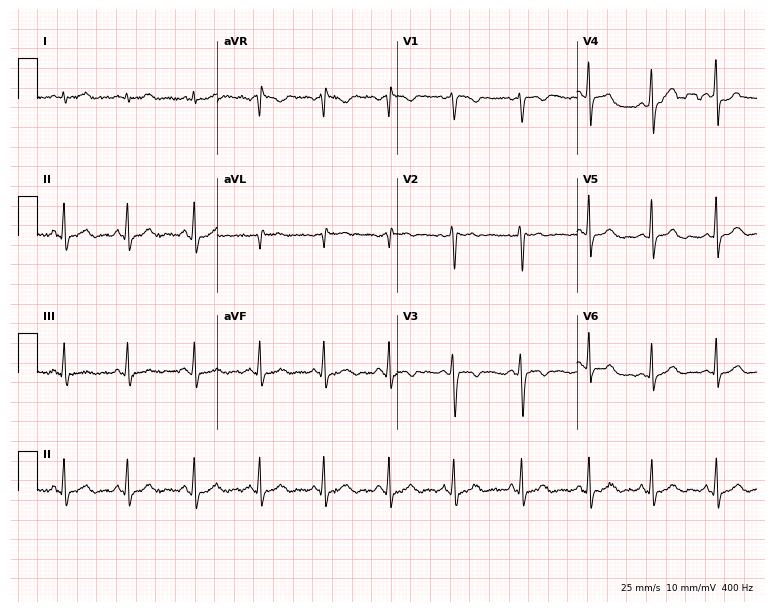
12-lead ECG from a woman, 21 years old (7.3-second recording at 400 Hz). Recorded interpretation: within normal limits.